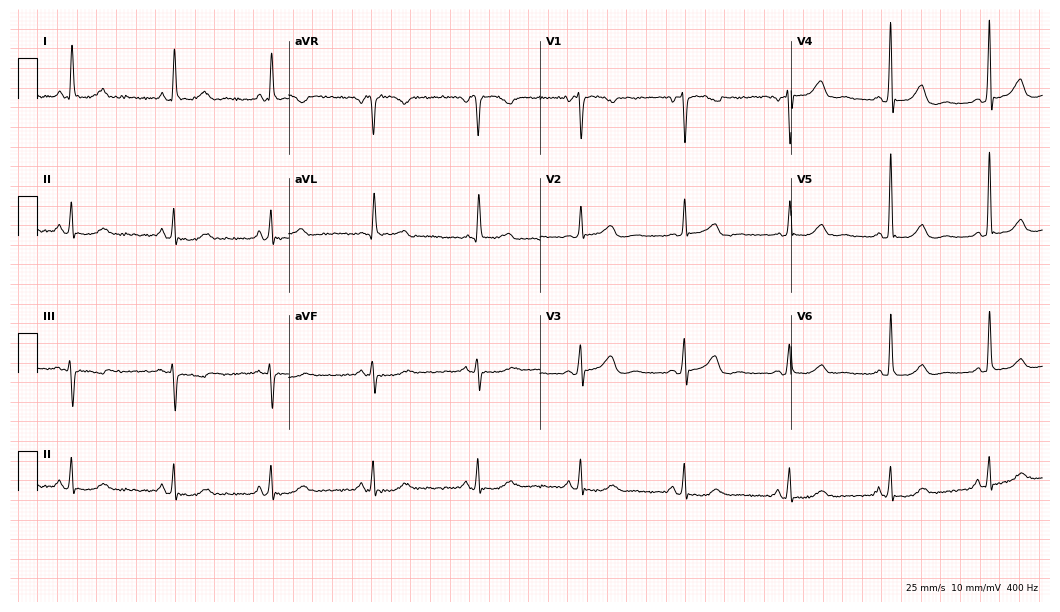
ECG (10.2-second recording at 400 Hz) — a female patient, 72 years old. Labelled as a normal ECG.